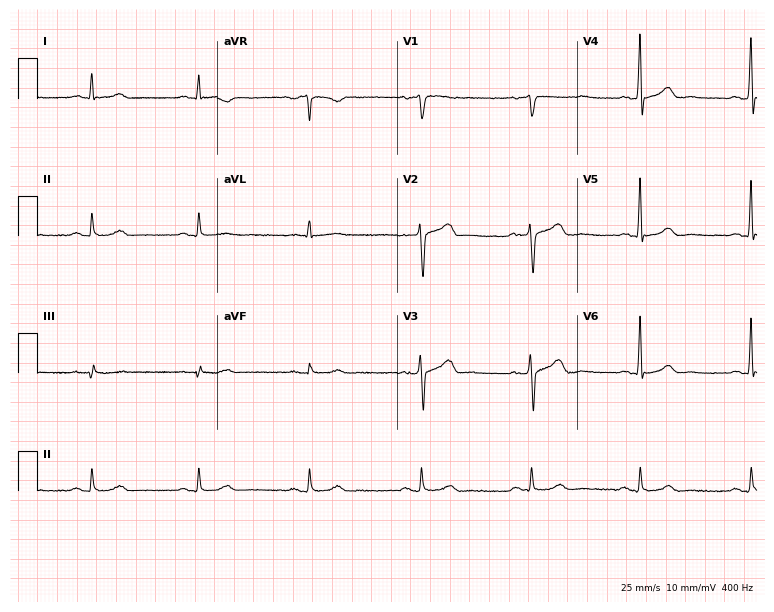
Resting 12-lead electrocardiogram (7.3-second recording at 400 Hz). Patient: a male, 52 years old. None of these six findings is recorded: first-degree AV block, right bundle branch block, left bundle branch block, sinus bradycardia, atrial fibrillation, sinus tachycardia.